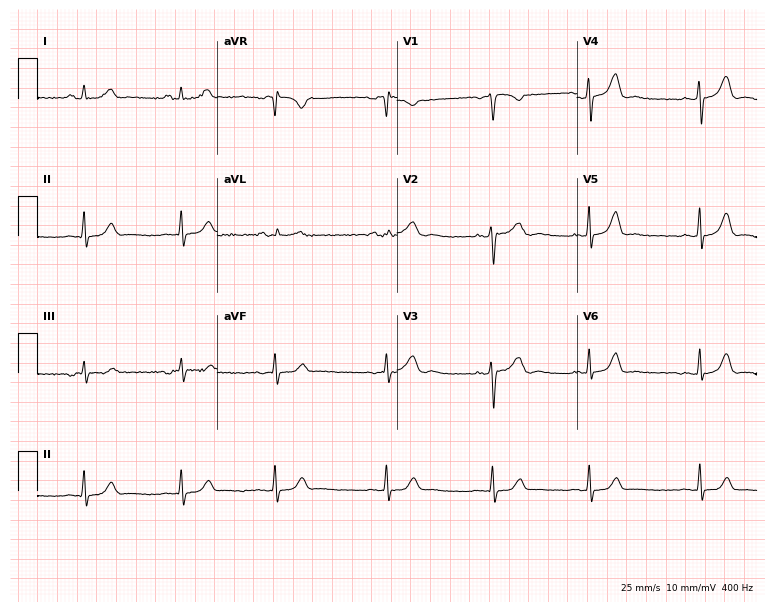
Resting 12-lead electrocardiogram. Patient: a woman, 23 years old. None of these six findings is recorded: first-degree AV block, right bundle branch block, left bundle branch block, sinus bradycardia, atrial fibrillation, sinus tachycardia.